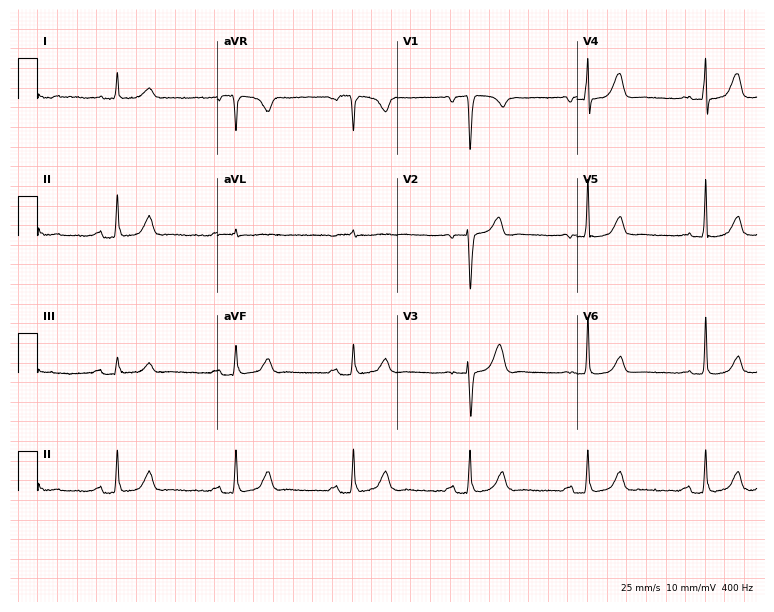
ECG (7.3-second recording at 400 Hz) — an 84-year-old man. Findings include first-degree AV block.